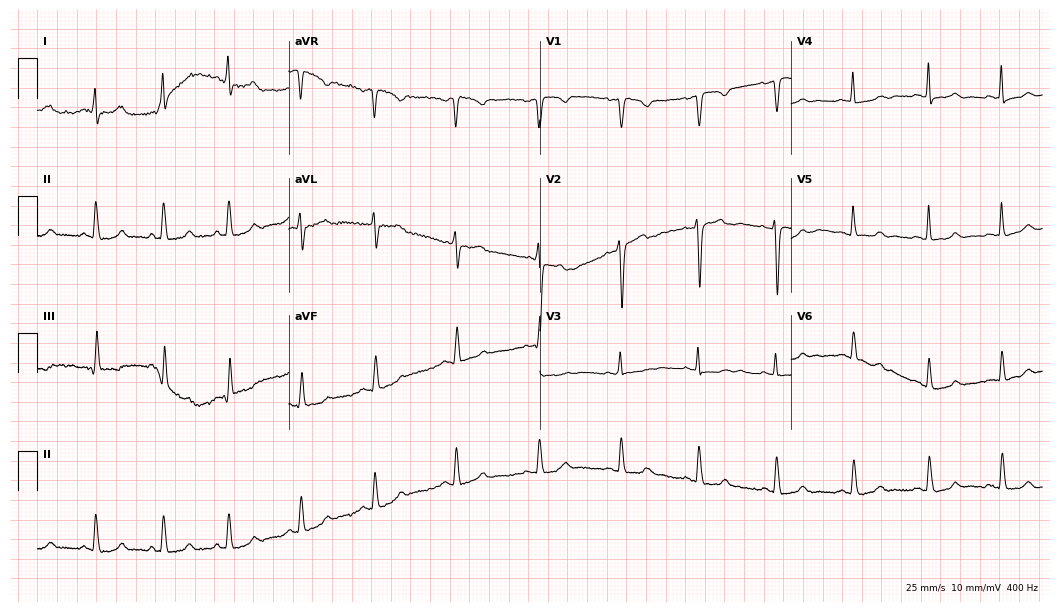
12-lead ECG from a 39-year-old woman (10.2-second recording at 400 Hz). No first-degree AV block, right bundle branch block, left bundle branch block, sinus bradycardia, atrial fibrillation or sinus tachycardia recorded for this tracing. Only these six findings were labelled.